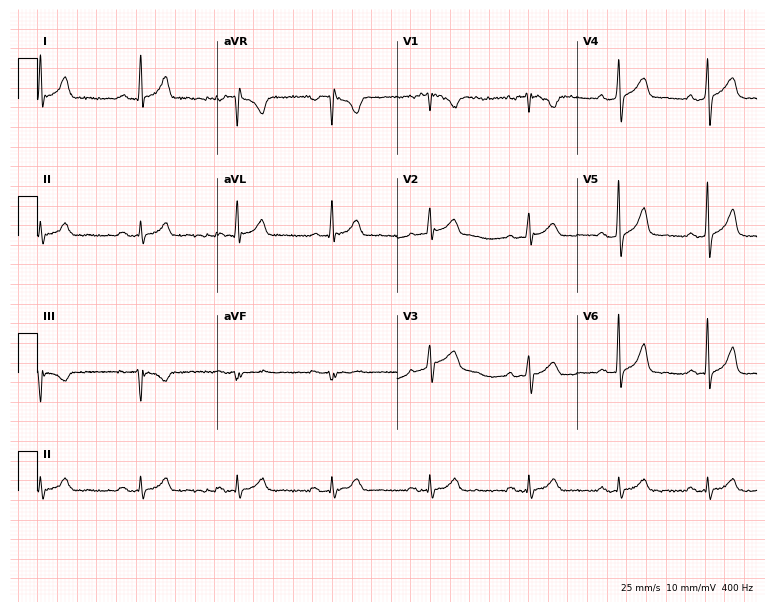
12-lead ECG from a 73-year-old male patient. No first-degree AV block, right bundle branch block, left bundle branch block, sinus bradycardia, atrial fibrillation or sinus tachycardia recorded for this tracing.